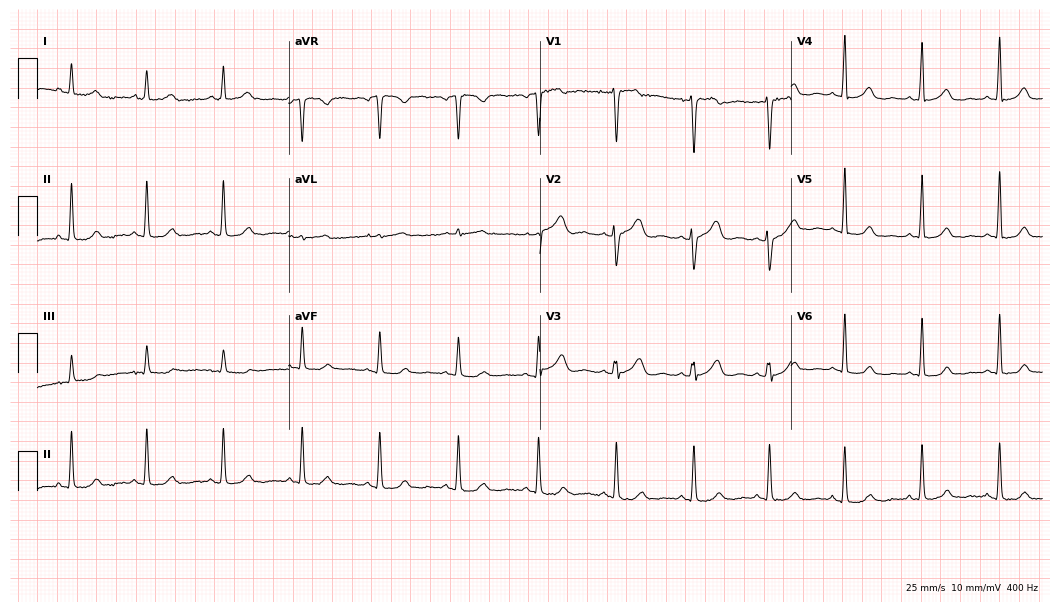
Resting 12-lead electrocardiogram. Patient: a woman, 48 years old. None of these six findings is recorded: first-degree AV block, right bundle branch block (RBBB), left bundle branch block (LBBB), sinus bradycardia, atrial fibrillation (AF), sinus tachycardia.